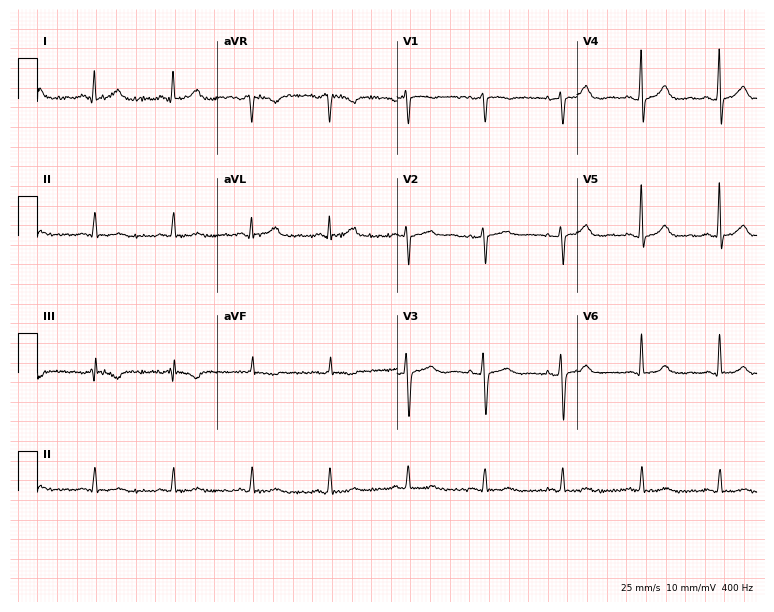
12-lead ECG from a woman, 47 years old. Recorded interpretation: within normal limits.